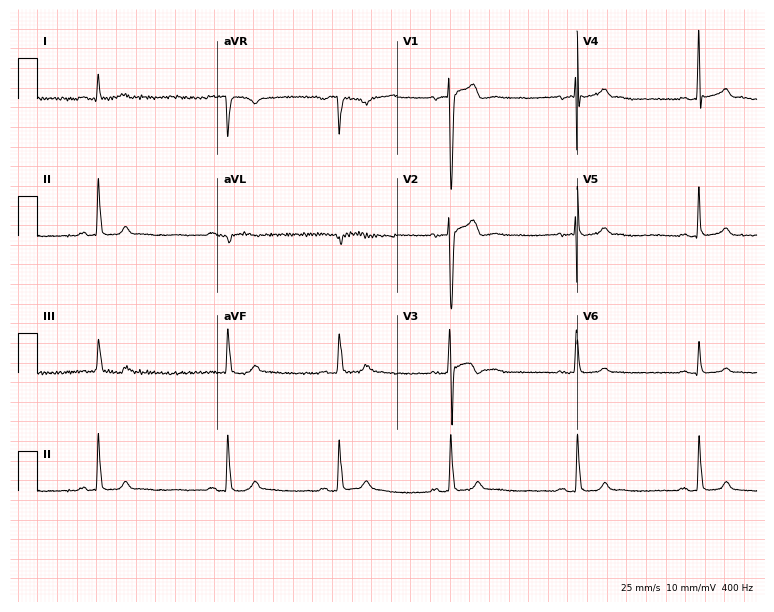
Resting 12-lead electrocardiogram. Patient: a 20-year-old male. Read as a normal ECG.